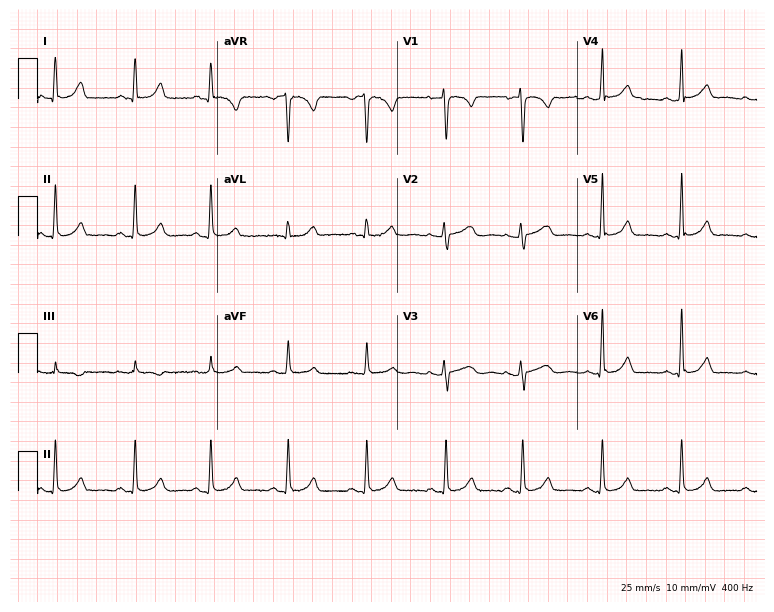
12-lead ECG from a female patient, 30 years old. Screened for six findings — first-degree AV block, right bundle branch block, left bundle branch block, sinus bradycardia, atrial fibrillation, sinus tachycardia — none is recorded. Only these six findings were labelled.